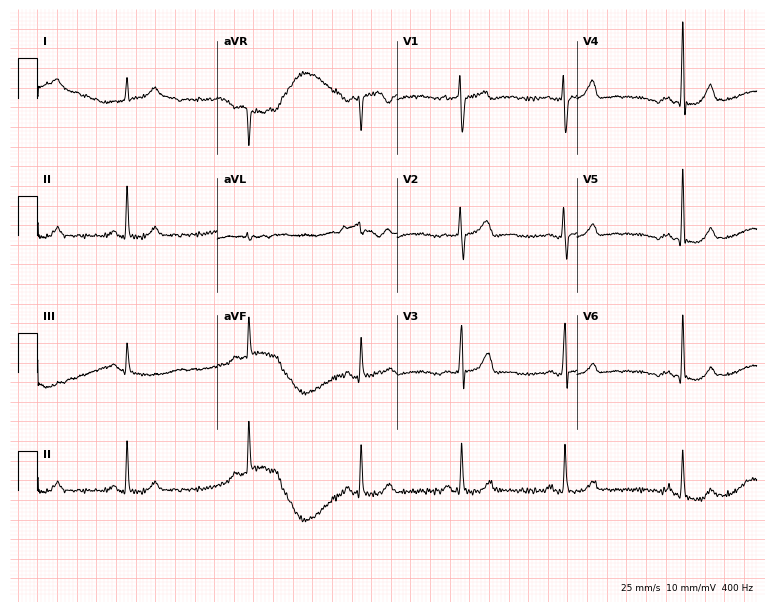
Standard 12-lead ECG recorded from a 36-year-old woman. None of these six findings is recorded: first-degree AV block, right bundle branch block (RBBB), left bundle branch block (LBBB), sinus bradycardia, atrial fibrillation (AF), sinus tachycardia. Other findings, if any, are not listed.